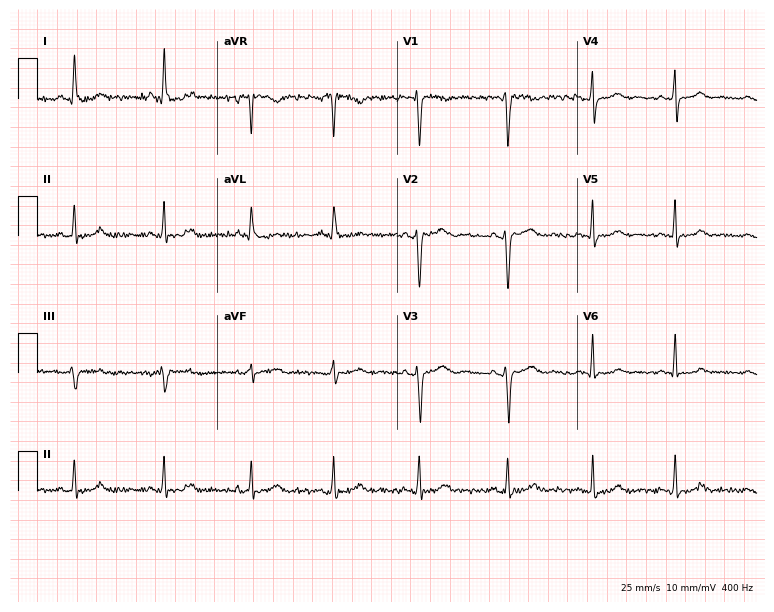
Standard 12-lead ECG recorded from a female patient, 29 years old. None of these six findings is recorded: first-degree AV block, right bundle branch block, left bundle branch block, sinus bradycardia, atrial fibrillation, sinus tachycardia.